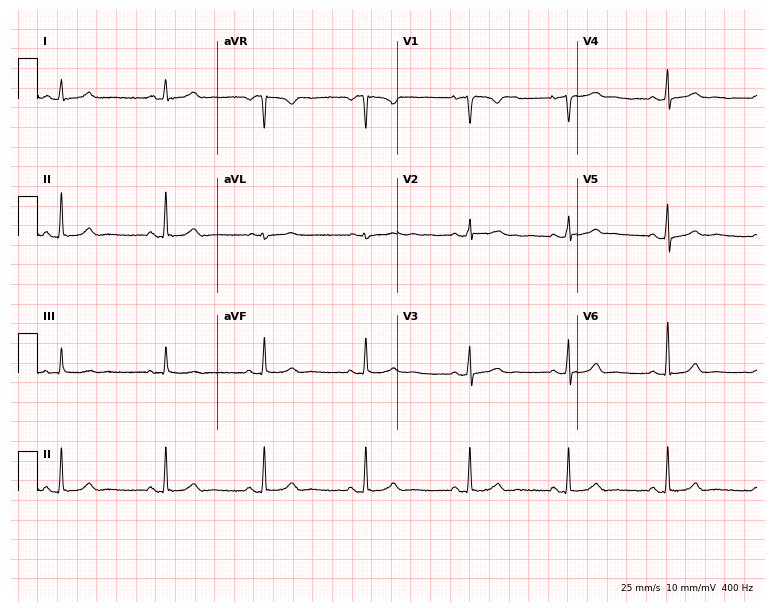
Electrocardiogram (7.3-second recording at 400 Hz), an 18-year-old female patient. Overall reading on record: normal ECG.